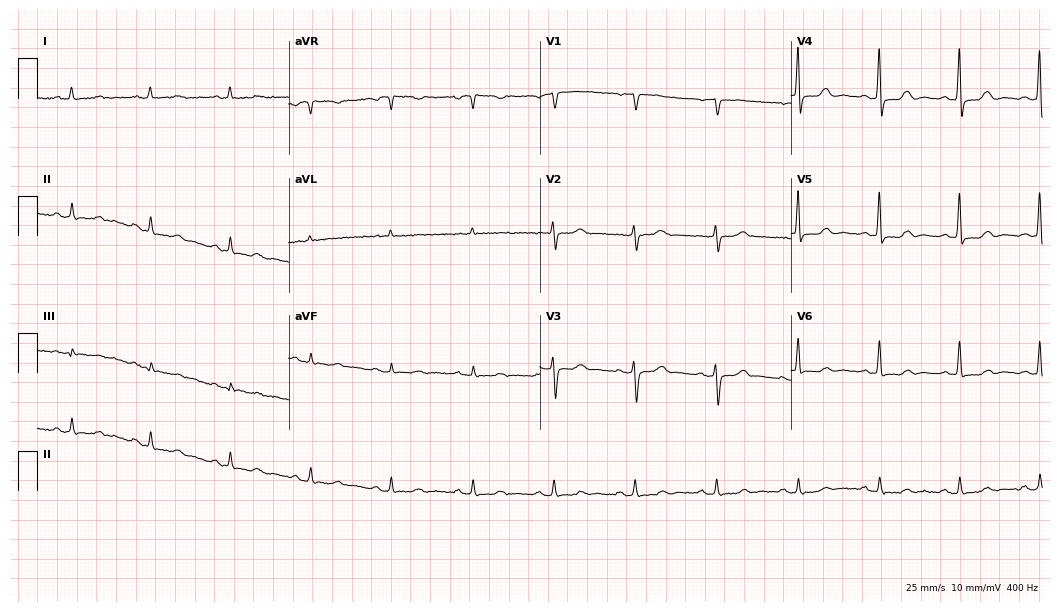
12-lead ECG from a female patient, 81 years old. No first-degree AV block, right bundle branch block, left bundle branch block, sinus bradycardia, atrial fibrillation or sinus tachycardia recorded for this tracing.